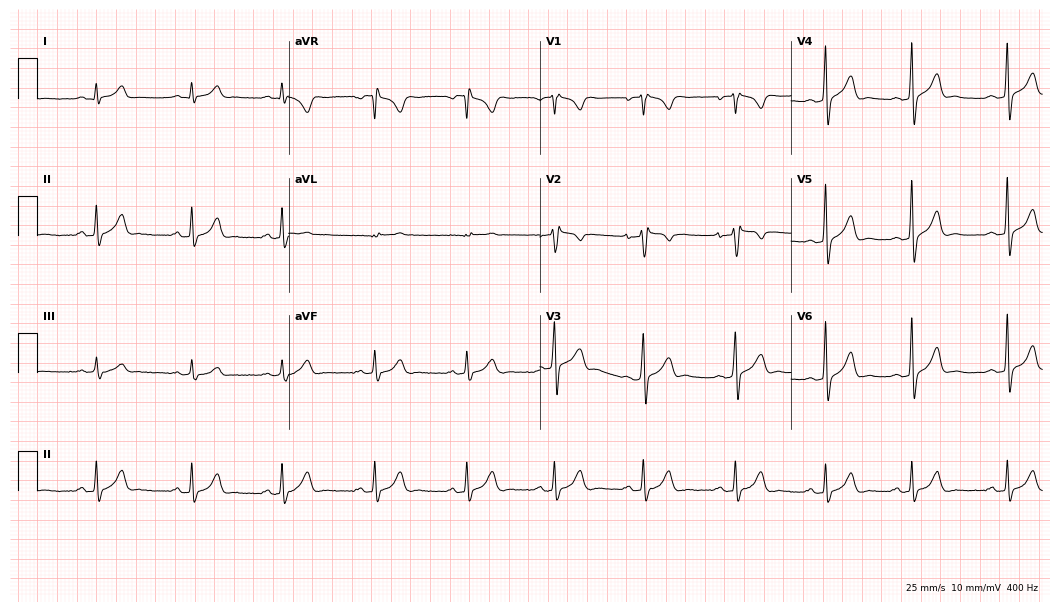
12-lead ECG from a male, 20 years old. No first-degree AV block, right bundle branch block (RBBB), left bundle branch block (LBBB), sinus bradycardia, atrial fibrillation (AF) or sinus tachycardia recorded for this tracing. Findings outside these six are not listed.